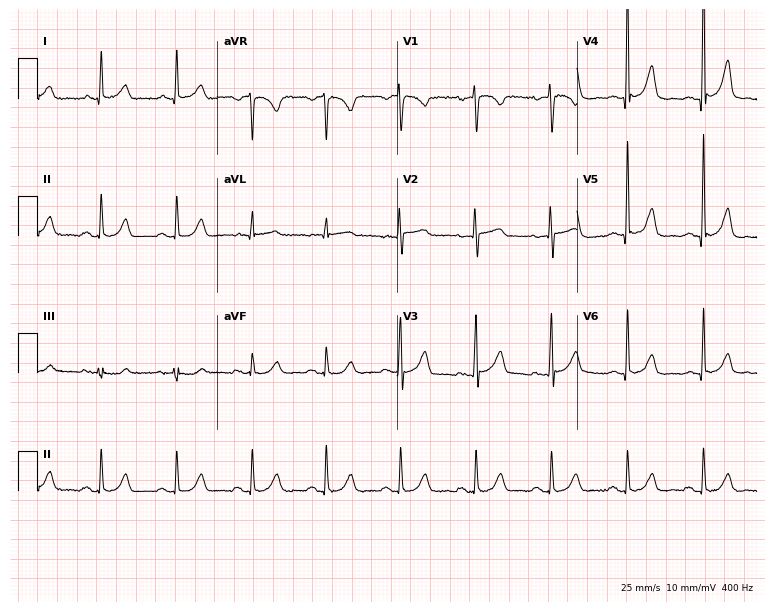
Resting 12-lead electrocardiogram (7.3-second recording at 400 Hz). Patient: a woman, 66 years old. None of these six findings is recorded: first-degree AV block, right bundle branch block, left bundle branch block, sinus bradycardia, atrial fibrillation, sinus tachycardia. Only these six findings were labelled.